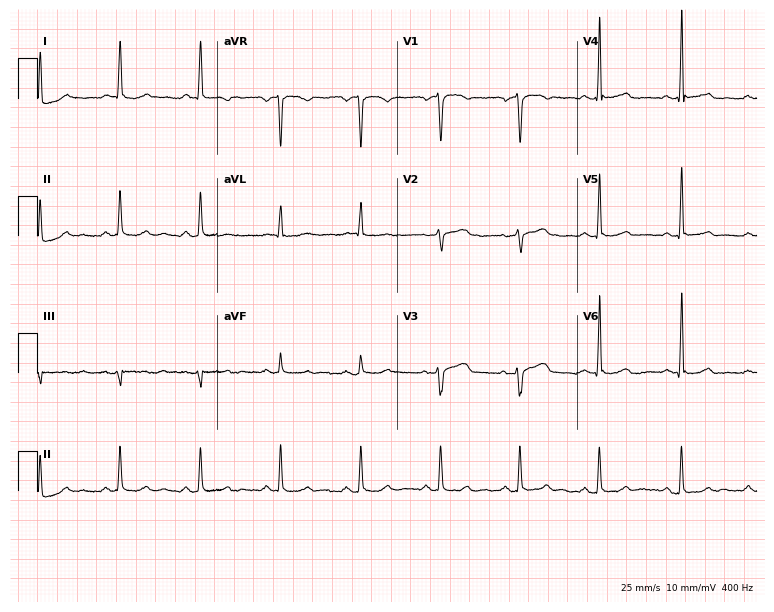
12-lead ECG from a 61-year-old woman. Screened for six findings — first-degree AV block, right bundle branch block (RBBB), left bundle branch block (LBBB), sinus bradycardia, atrial fibrillation (AF), sinus tachycardia — none is recorded.